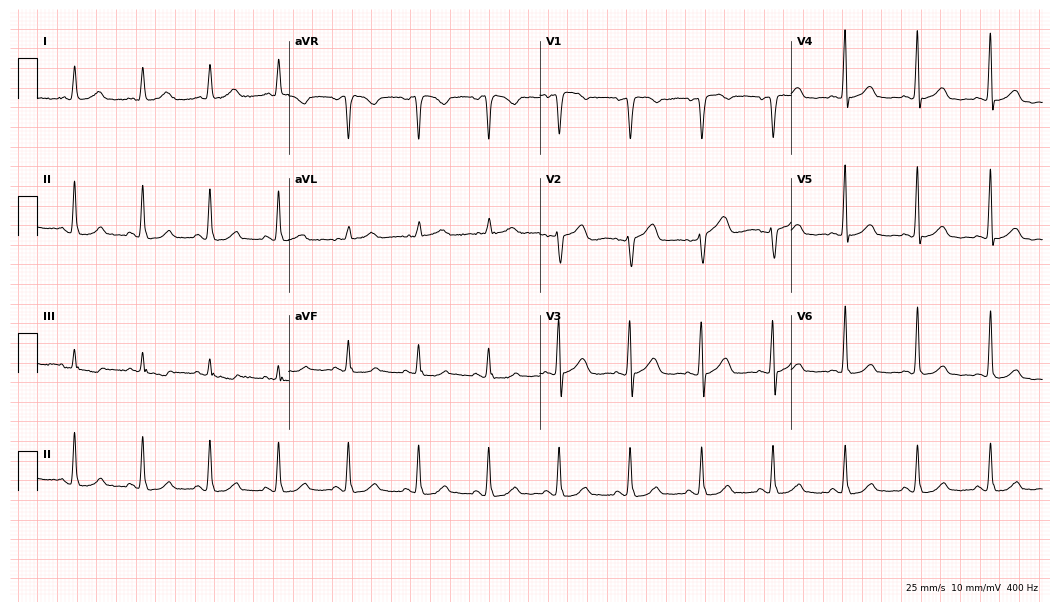
ECG — a woman, 53 years old. Labelled as a normal ECG.